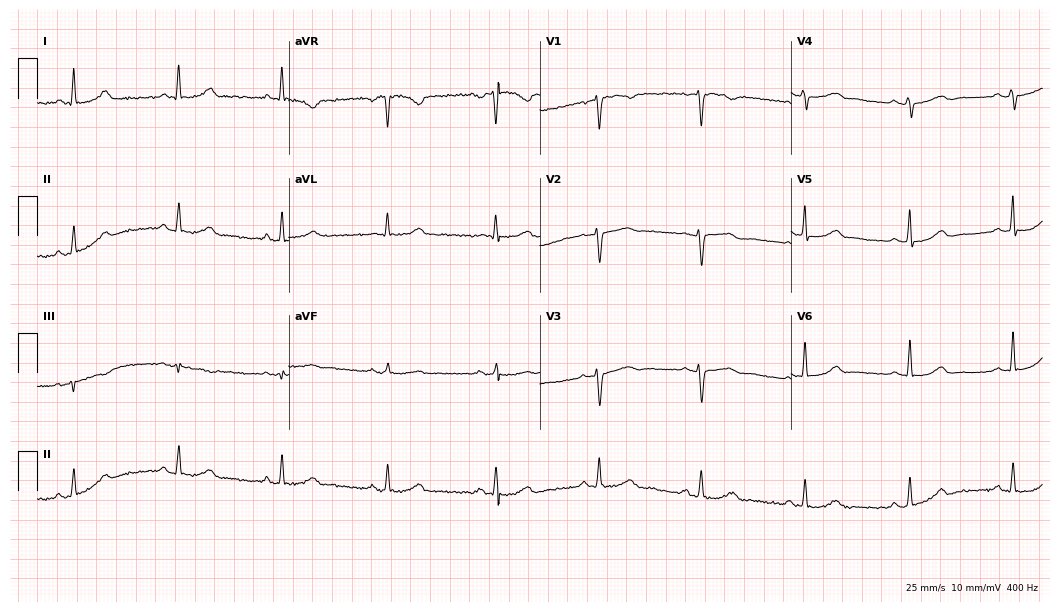
ECG (10.2-second recording at 400 Hz) — a female patient, 50 years old. Labelled as a normal ECG.